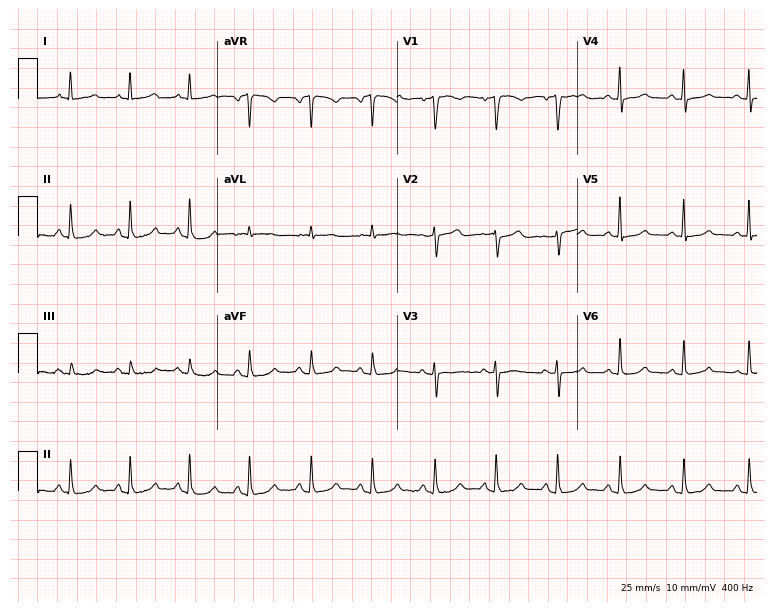
12-lead ECG from a 58-year-old female patient. Labelled as a normal ECG.